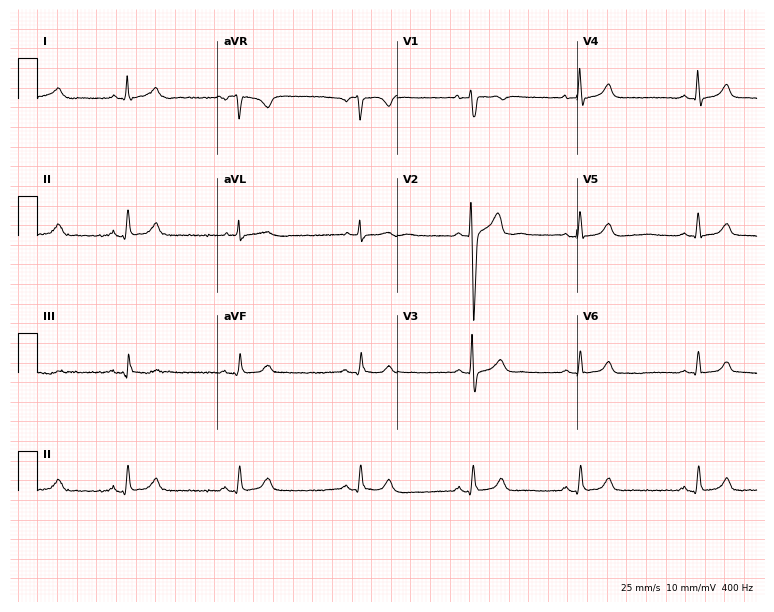
12-lead ECG from a male, 28 years old. Labelled as a normal ECG.